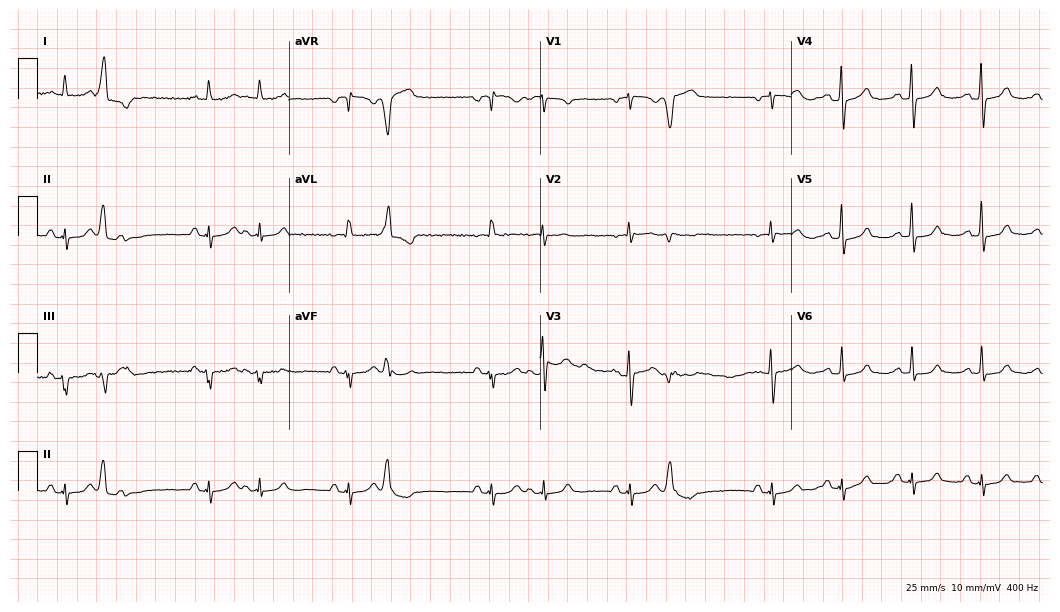
Resting 12-lead electrocardiogram (10.2-second recording at 400 Hz). Patient: an 82-year-old female. None of these six findings is recorded: first-degree AV block, right bundle branch block, left bundle branch block, sinus bradycardia, atrial fibrillation, sinus tachycardia. Only these six findings were labelled.